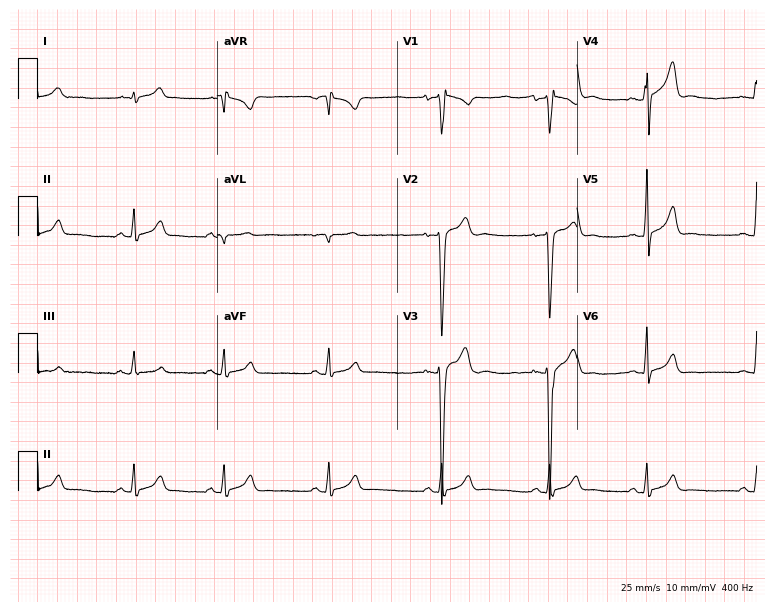
Electrocardiogram (7.3-second recording at 400 Hz), a man, 21 years old. Overall reading on record: normal ECG.